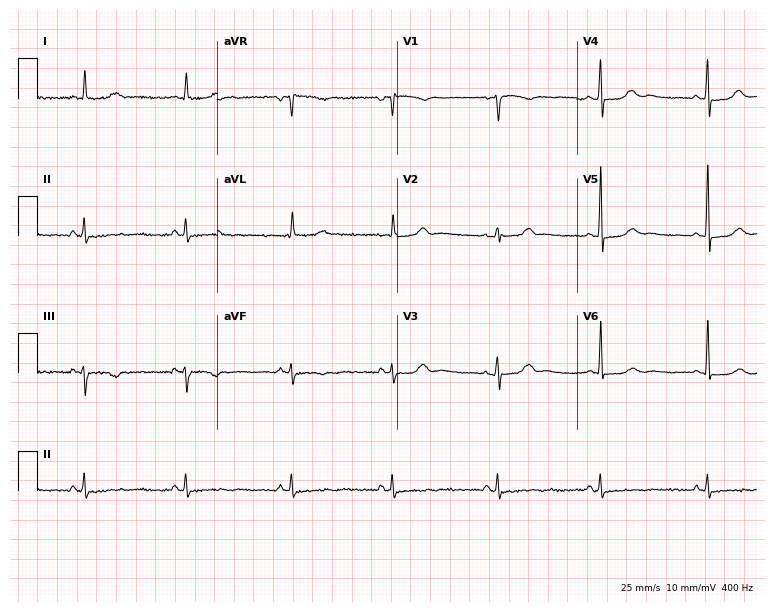
12-lead ECG from a female patient, 44 years old. Screened for six findings — first-degree AV block, right bundle branch block, left bundle branch block, sinus bradycardia, atrial fibrillation, sinus tachycardia — none is recorded. Other findings, if any, are not listed.